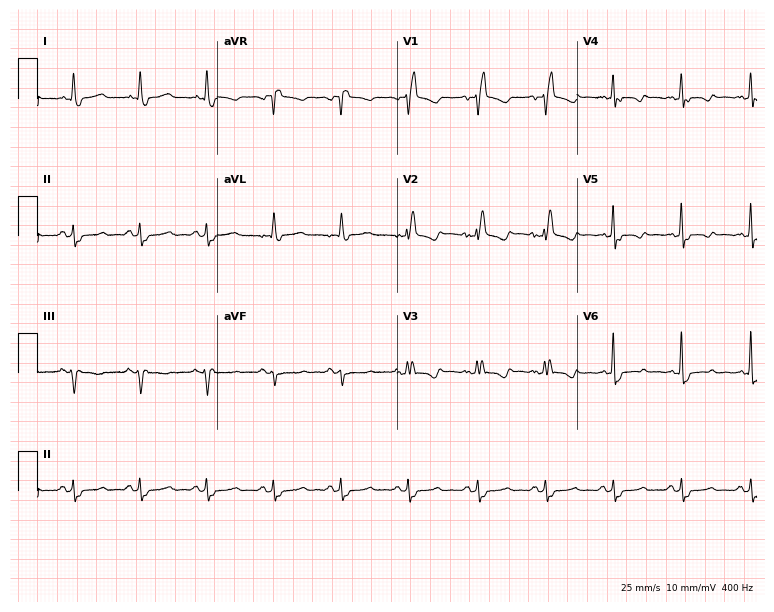
Resting 12-lead electrocardiogram (7.3-second recording at 400 Hz). Patient: a 66-year-old female. The tracing shows right bundle branch block.